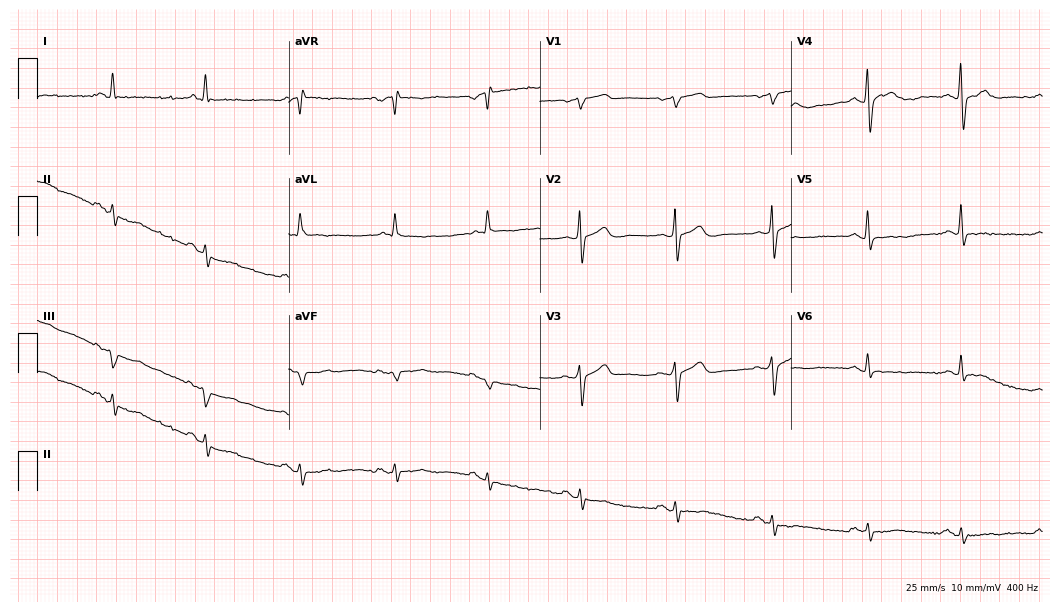
Standard 12-lead ECG recorded from a man, 80 years old (10.2-second recording at 400 Hz). Read as a normal ECG.